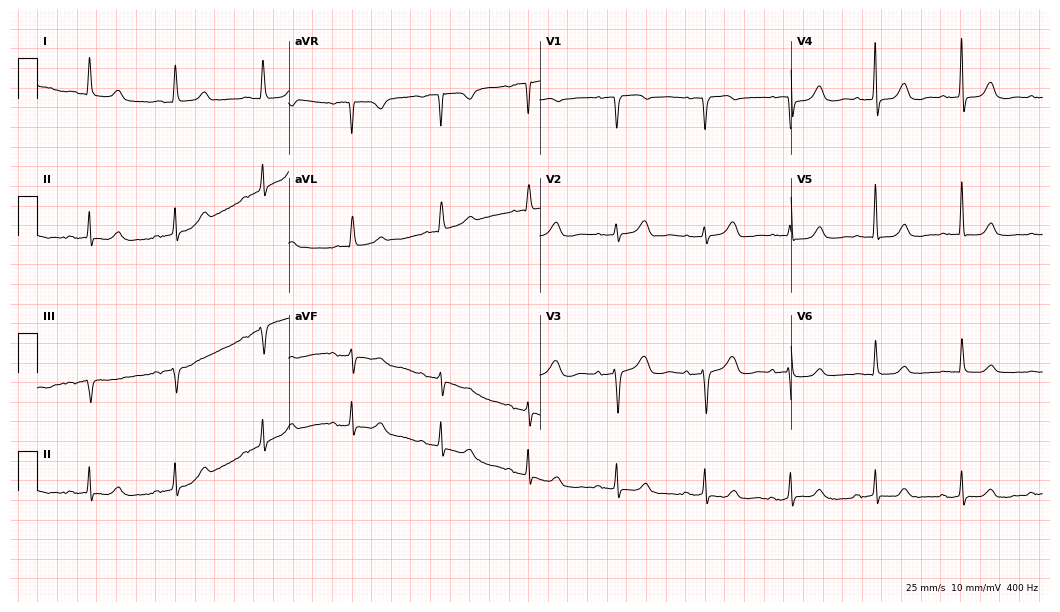
ECG — a female, 78 years old. Screened for six findings — first-degree AV block, right bundle branch block (RBBB), left bundle branch block (LBBB), sinus bradycardia, atrial fibrillation (AF), sinus tachycardia — none is recorded. Findings outside these six are not listed.